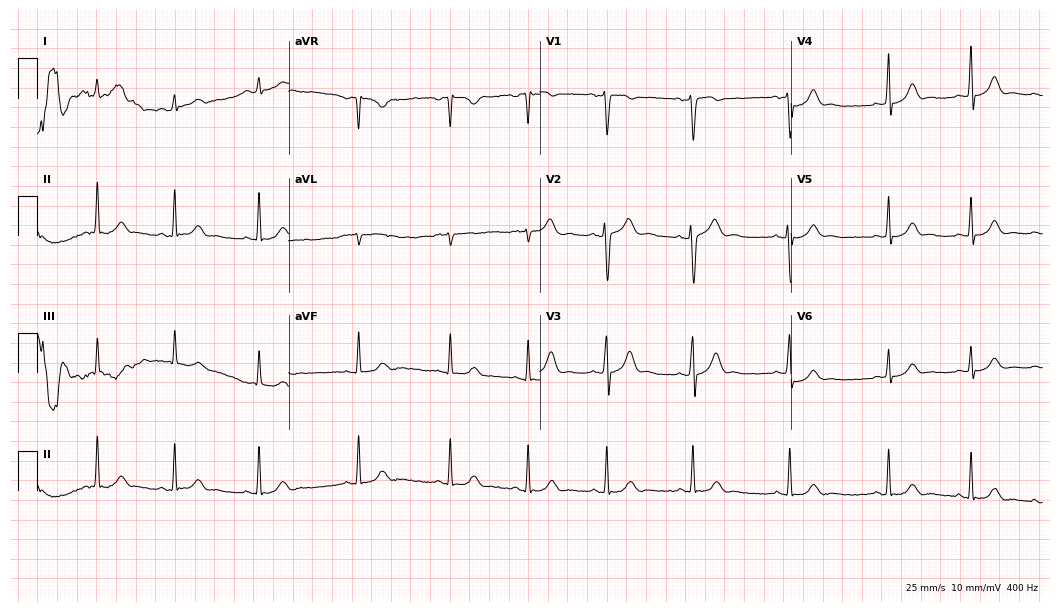
Resting 12-lead electrocardiogram. Patient: a female, 20 years old. None of these six findings is recorded: first-degree AV block, right bundle branch block (RBBB), left bundle branch block (LBBB), sinus bradycardia, atrial fibrillation (AF), sinus tachycardia.